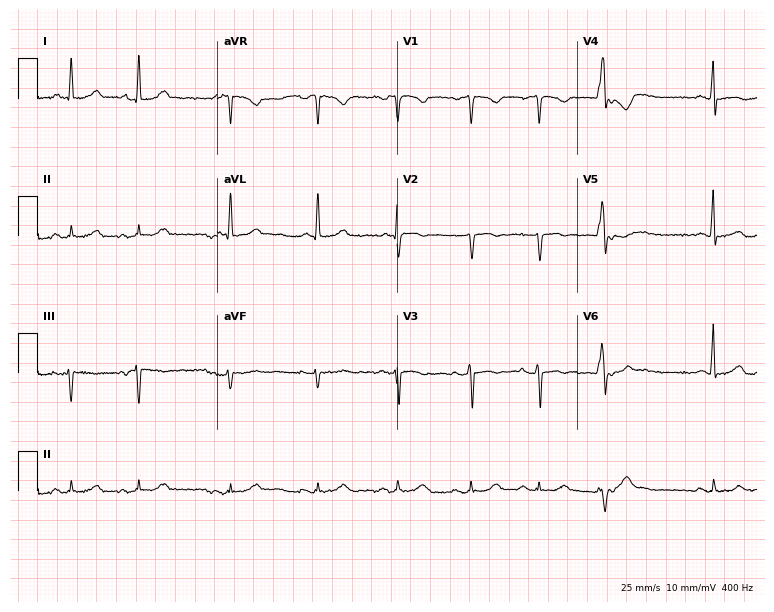
ECG — a 78-year-old male patient. Screened for six findings — first-degree AV block, right bundle branch block, left bundle branch block, sinus bradycardia, atrial fibrillation, sinus tachycardia — none is recorded. Other findings, if any, are not listed.